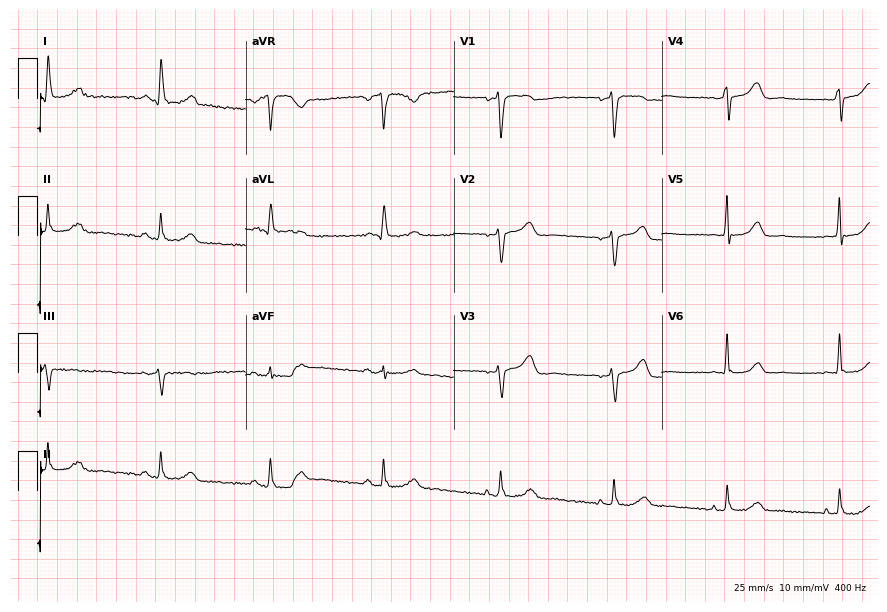
12-lead ECG from a 65-year-old female patient (8.5-second recording at 400 Hz). No first-degree AV block, right bundle branch block (RBBB), left bundle branch block (LBBB), sinus bradycardia, atrial fibrillation (AF) or sinus tachycardia recorded for this tracing.